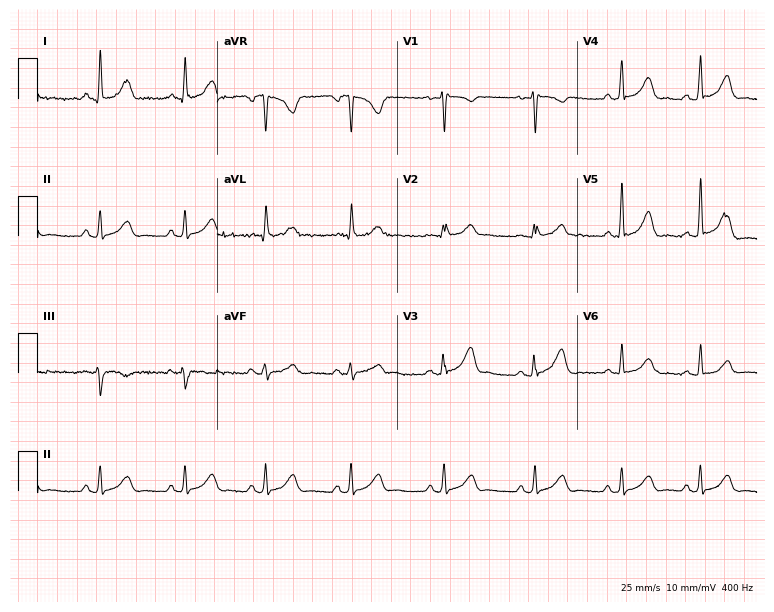
Standard 12-lead ECG recorded from a 37-year-old female (7.3-second recording at 400 Hz). None of these six findings is recorded: first-degree AV block, right bundle branch block, left bundle branch block, sinus bradycardia, atrial fibrillation, sinus tachycardia. Findings outside these six are not listed.